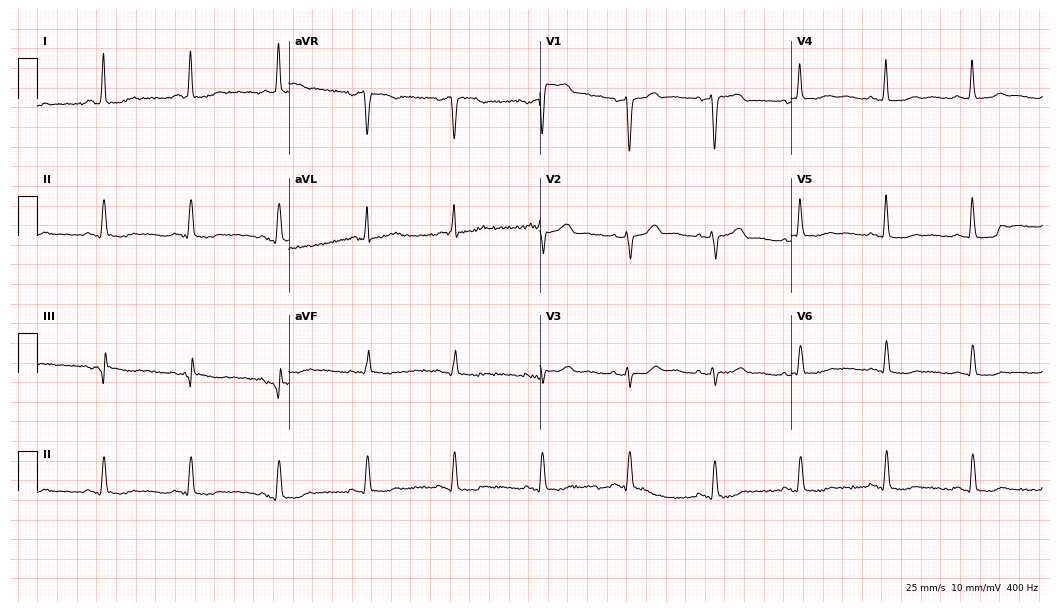
ECG — a woman, 65 years old. Screened for six findings — first-degree AV block, right bundle branch block, left bundle branch block, sinus bradycardia, atrial fibrillation, sinus tachycardia — none is recorded.